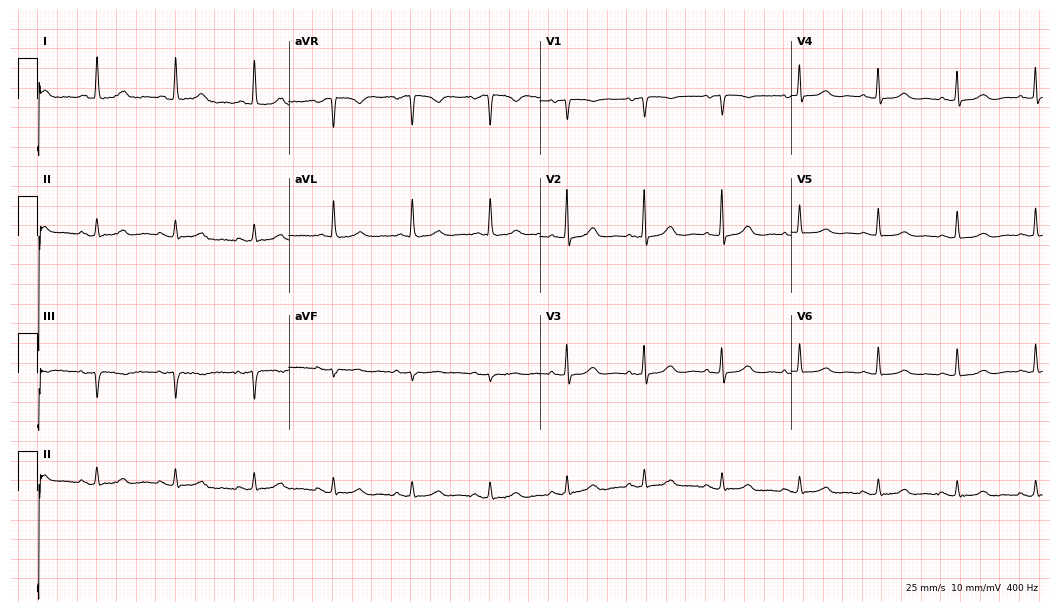
12-lead ECG from a female patient, 77 years old. Recorded interpretation: within normal limits.